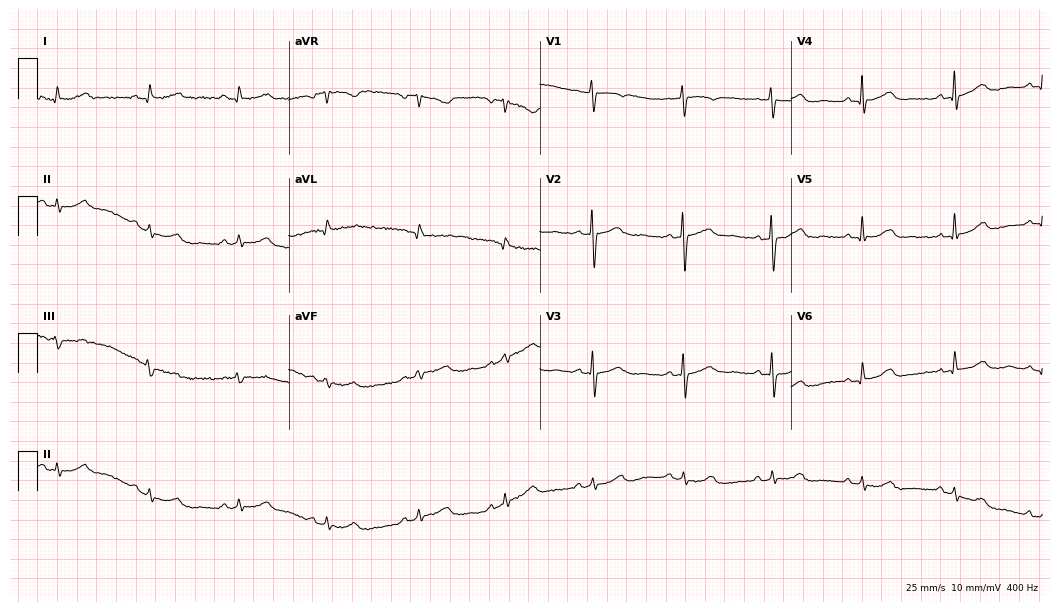
12-lead ECG from a female patient, 61 years old. Recorded interpretation: within normal limits.